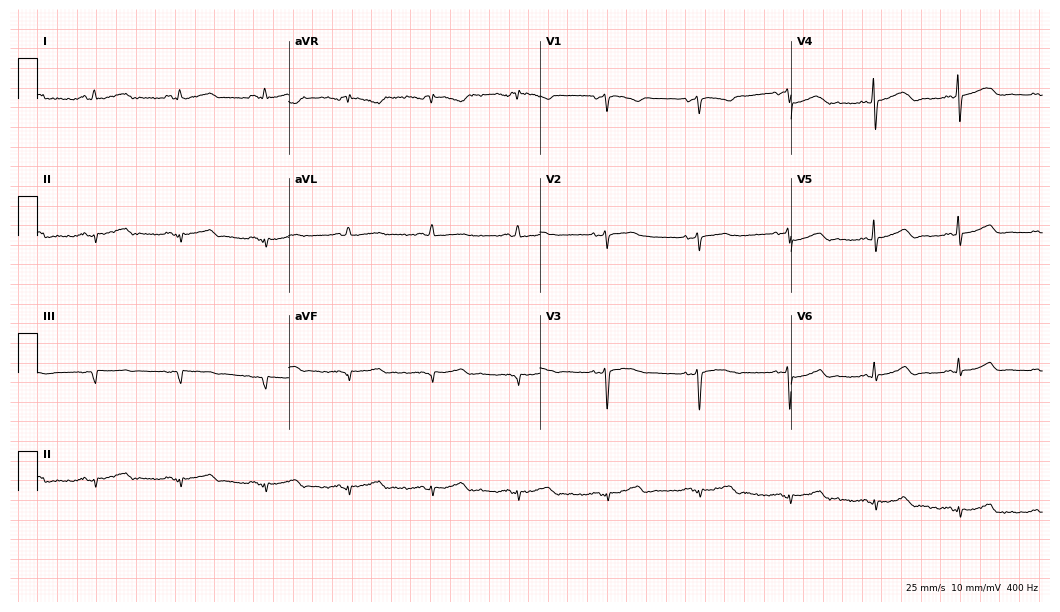
ECG (10.2-second recording at 400 Hz) — a 44-year-old female patient. Screened for six findings — first-degree AV block, right bundle branch block, left bundle branch block, sinus bradycardia, atrial fibrillation, sinus tachycardia — none is recorded.